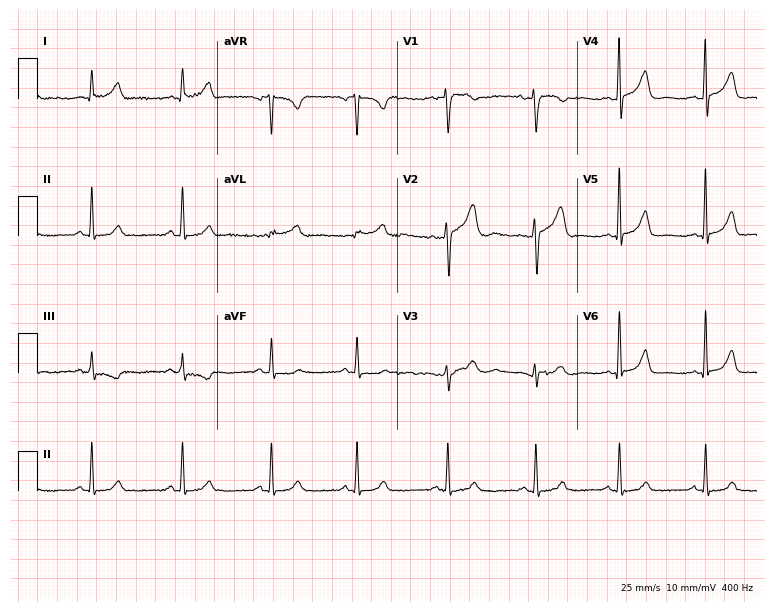
12-lead ECG from a woman, 39 years old. Recorded interpretation: within normal limits.